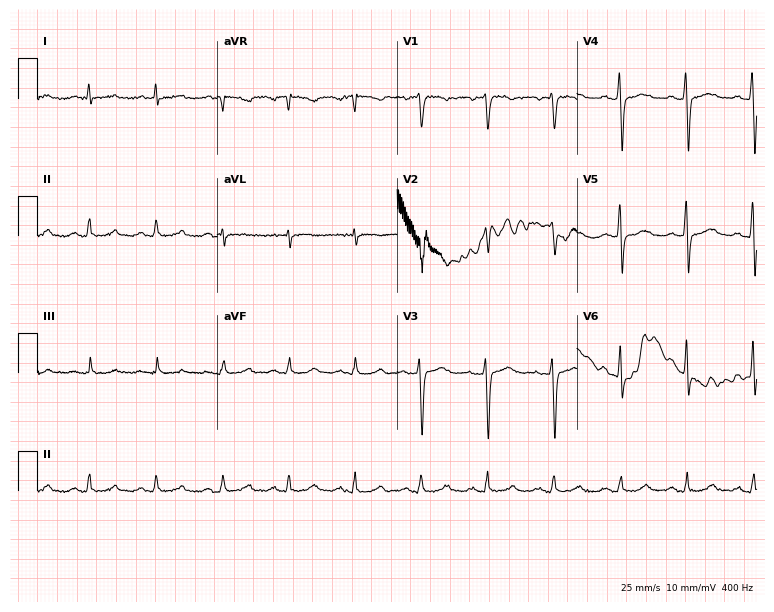
Resting 12-lead electrocardiogram. Patient: a female, 49 years old. None of these six findings is recorded: first-degree AV block, right bundle branch block (RBBB), left bundle branch block (LBBB), sinus bradycardia, atrial fibrillation (AF), sinus tachycardia. Only these six findings were labelled.